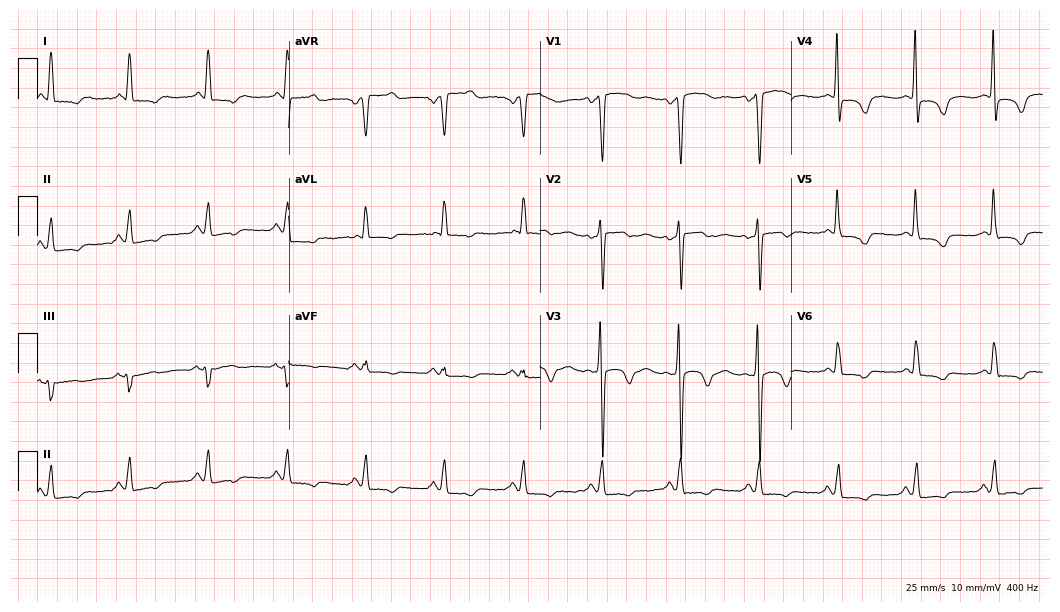
12-lead ECG from a woman, 52 years old. No first-degree AV block, right bundle branch block (RBBB), left bundle branch block (LBBB), sinus bradycardia, atrial fibrillation (AF) or sinus tachycardia recorded for this tracing. Only these six findings were labelled.